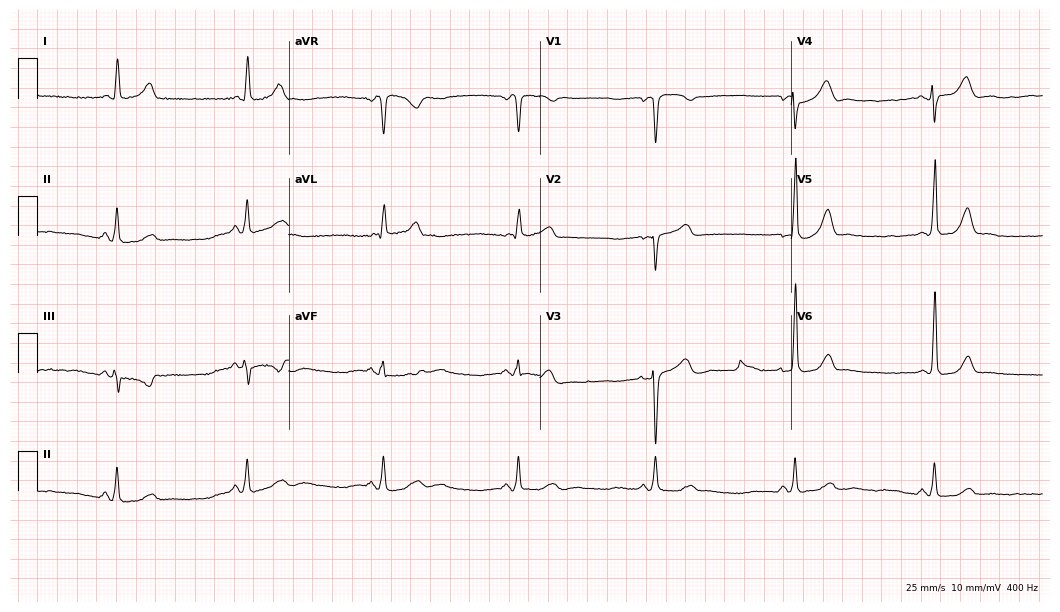
Resting 12-lead electrocardiogram. Patient: a female, 55 years old. The tracing shows sinus bradycardia (a sinus rate of 50 beats per minute or less).